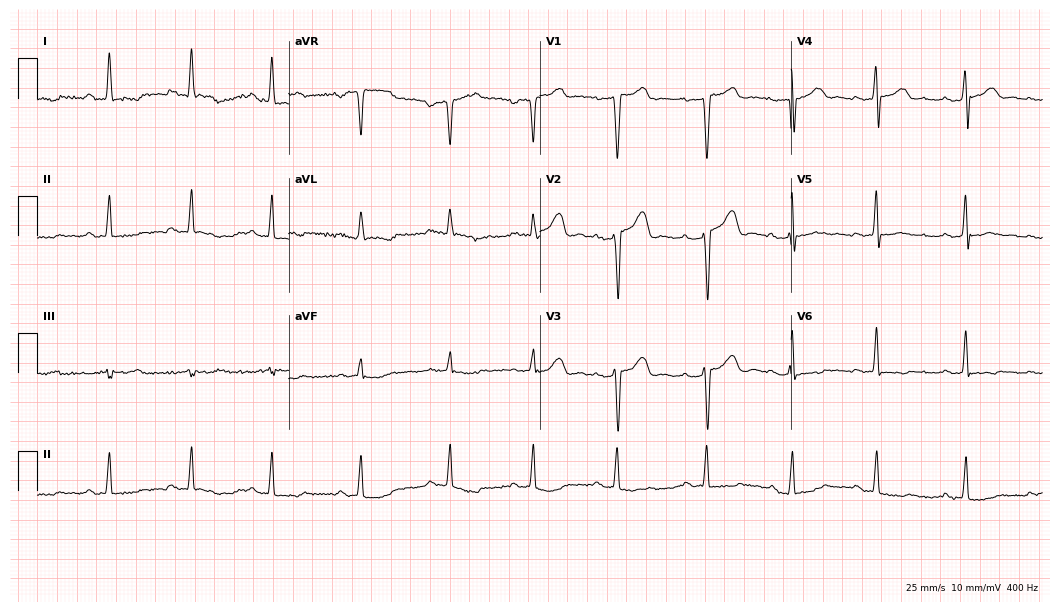
12-lead ECG from a female patient, 37 years old (10.2-second recording at 400 Hz). Shows first-degree AV block.